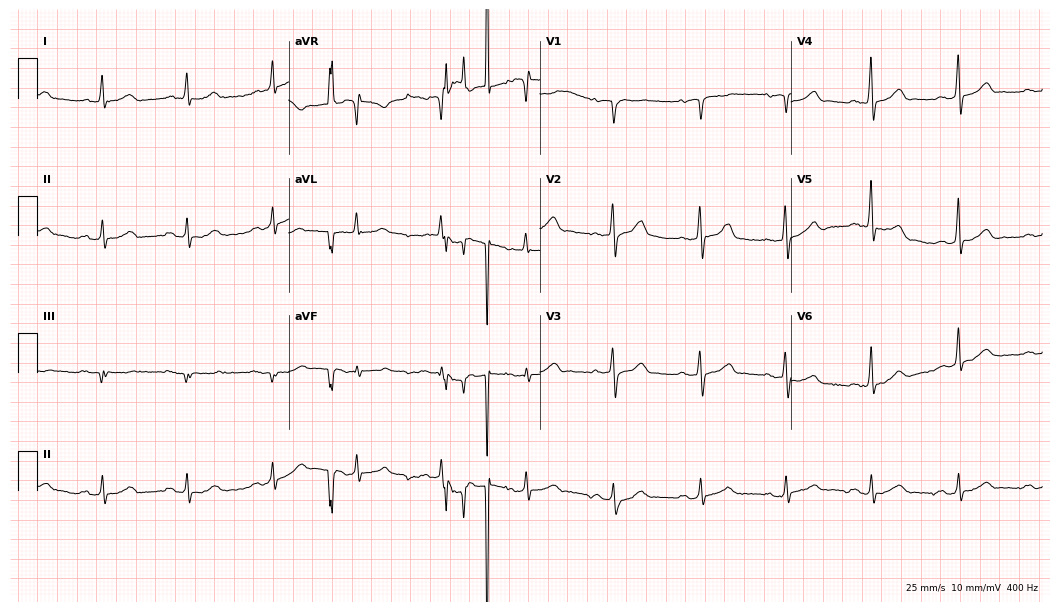
12-lead ECG from a 75-year-old man. Recorded interpretation: within normal limits.